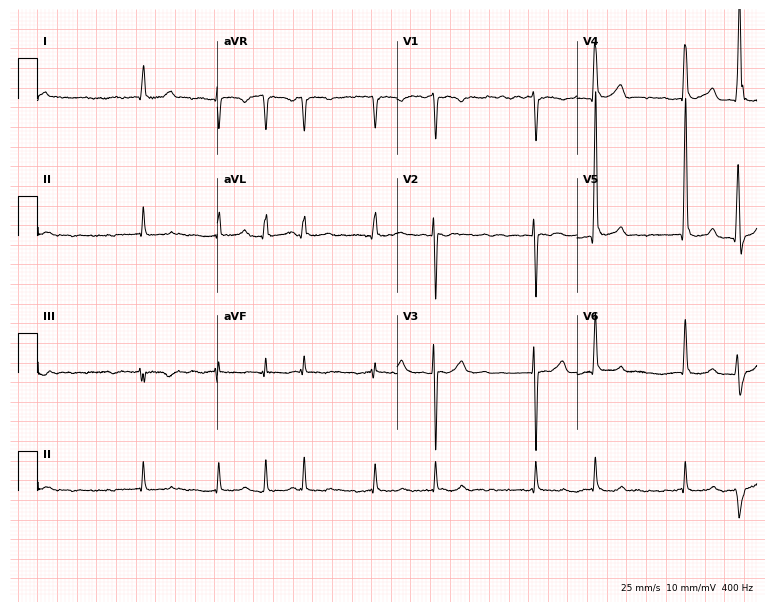
ECG — a 69-year-old male patient. Findings include atrial fibrillation (AF).